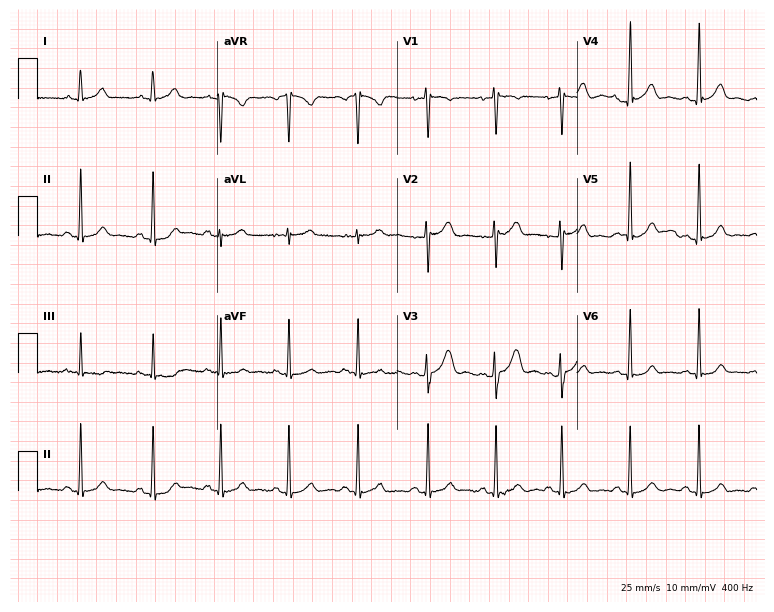
Resting 12-lead electrocardiogram. Patient: a woman, 26 years old. Read as a normal ECG.